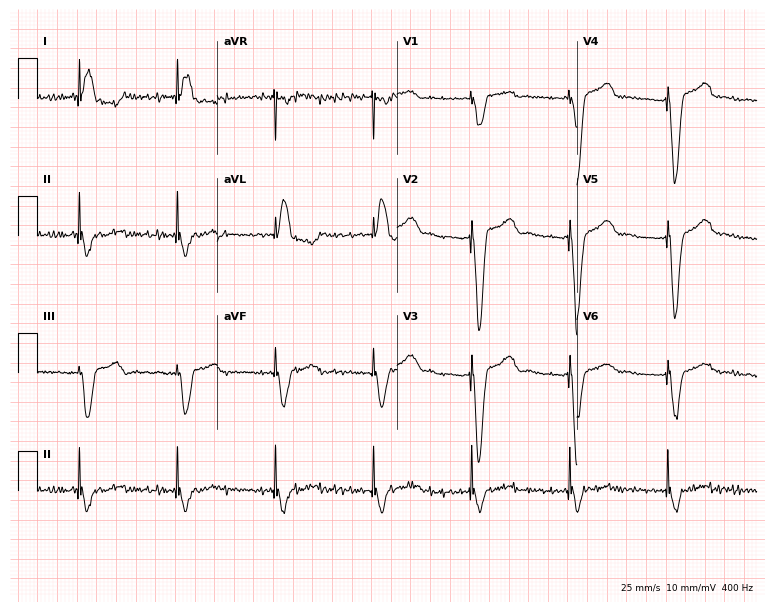
Electrocardiogram, a male, 69 years old. Of the six screened findings (first-degree AV block, right bundle branch block, left bundle branch block, sinus bradycardia, atrial fibrillation, sinus tachycardia), none is recorded. Other findings, if any, are not listed.